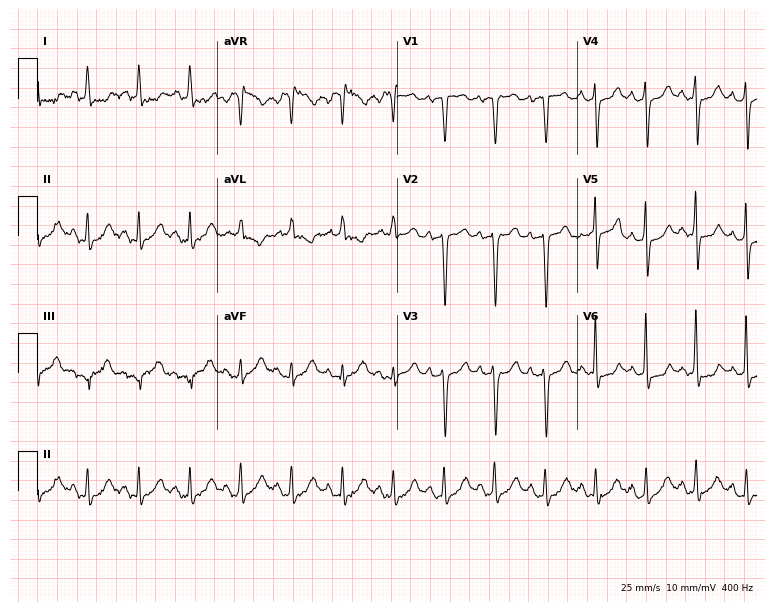
Electrocardiogram, a 69-year-old female patient. Interpretation includes sinus tachycardia (a sinus rate of 100 beats per minute or more).